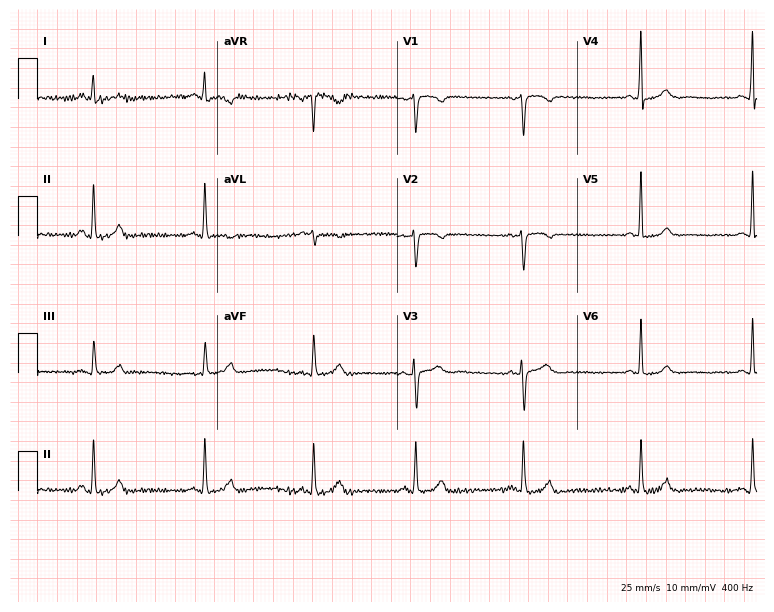
ECG — a female patient, 32 years old. Screened for six findings — first-degree AV block, right bundle branch block (RBBB), left bundle branch block (LBBB), sinus bradycardia, atrial fibrillation (AF), sinus tachycardia — none is recorded. Other findings, if any, are not listed.